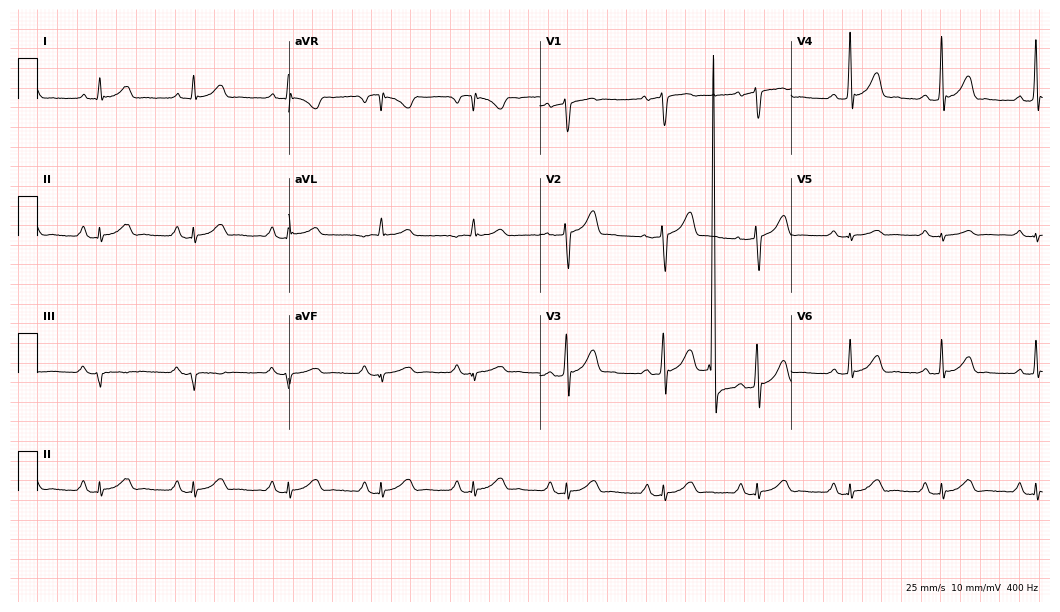
Standard 12-lead ECG recorded from a man, 41 years old. Read as a normal ECG.